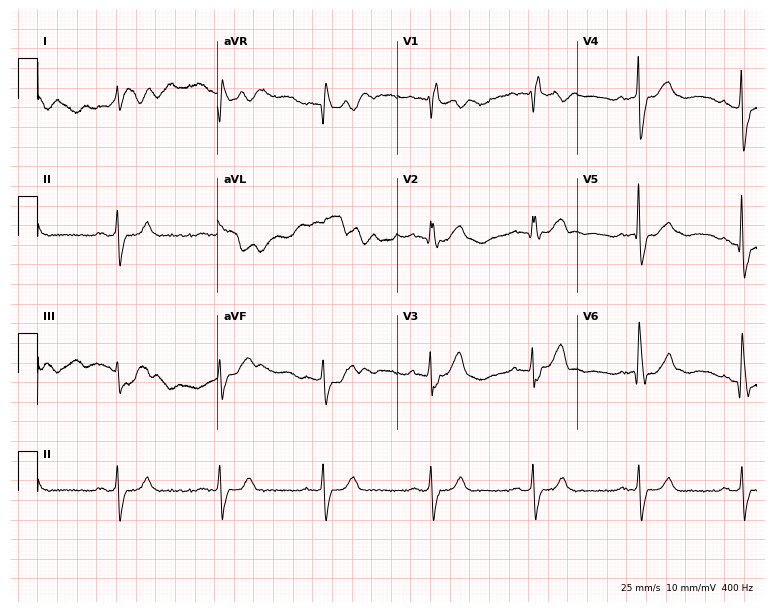
Standard 12-lead ECG recorded from a 73-year-old female patient (7.3-second recording at 400 Hz). The tracing shows right bundle branch block (RBBB).